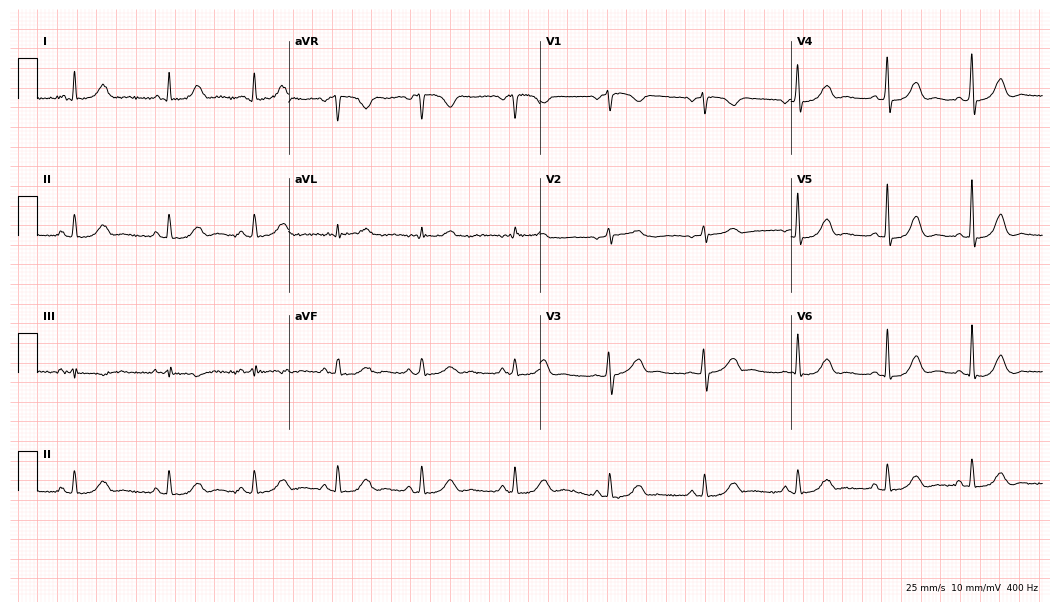
Resting 12-lead electrocardiogram. Patient: a 55-year-old woman. Read as a normal ECG.